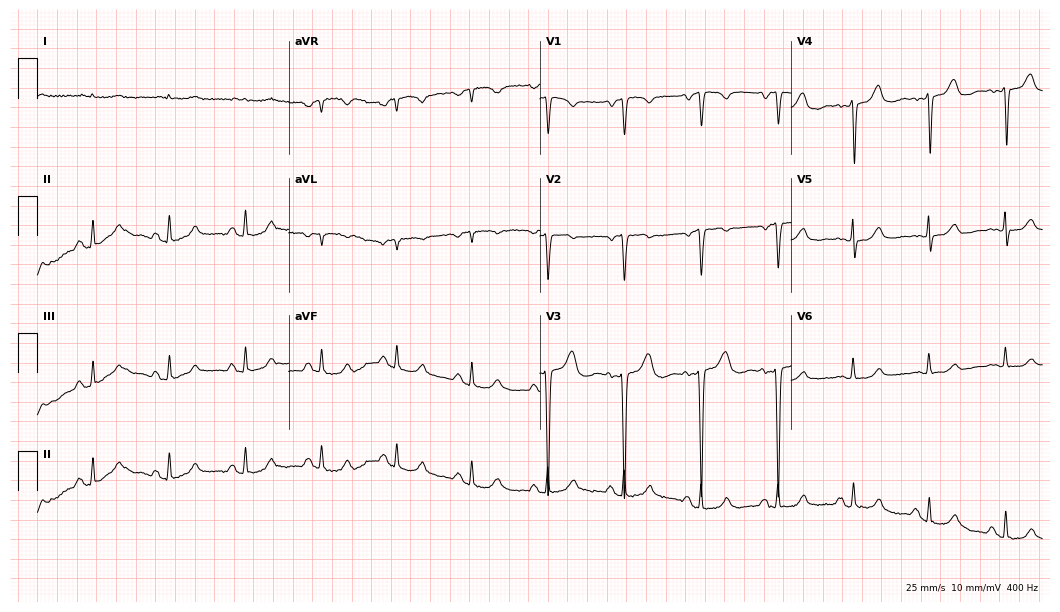
Resting 12-lead electrocardiogram. Patient: a female, 60 years old. None of these six findings is recorded: first-degree AV block, right bundle branch block, left bundle branch block, sinus bradycardia, atrial fibrillation, sinus tachycardia. Other findings, if any, are not listed.